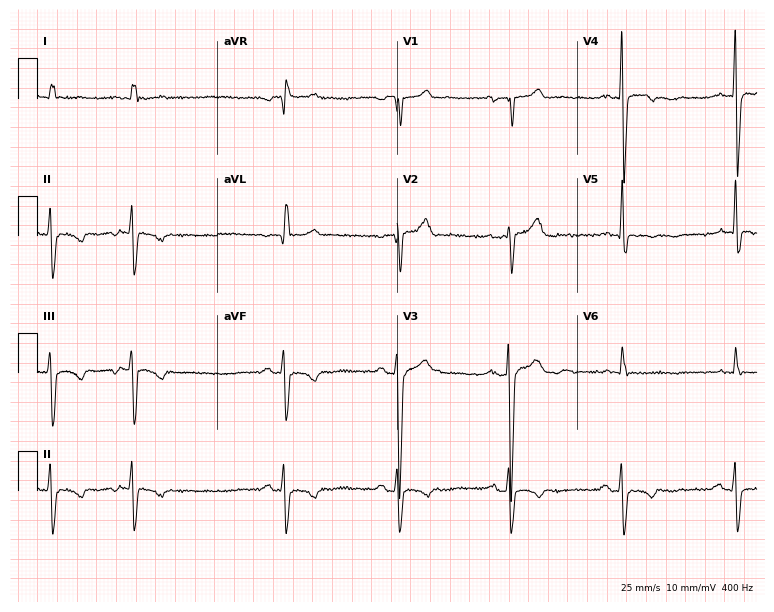
12-lead ECG (7.3-second recording at 400 Hz) from a man, 66 years old. Screened for six findings — first-degree AV block, right bundle branch block, left bundle branch block, sinus bradycardia, atrial fibrillation, sinus tachycardia — none is recorded. Other findings, if any, are not listed.